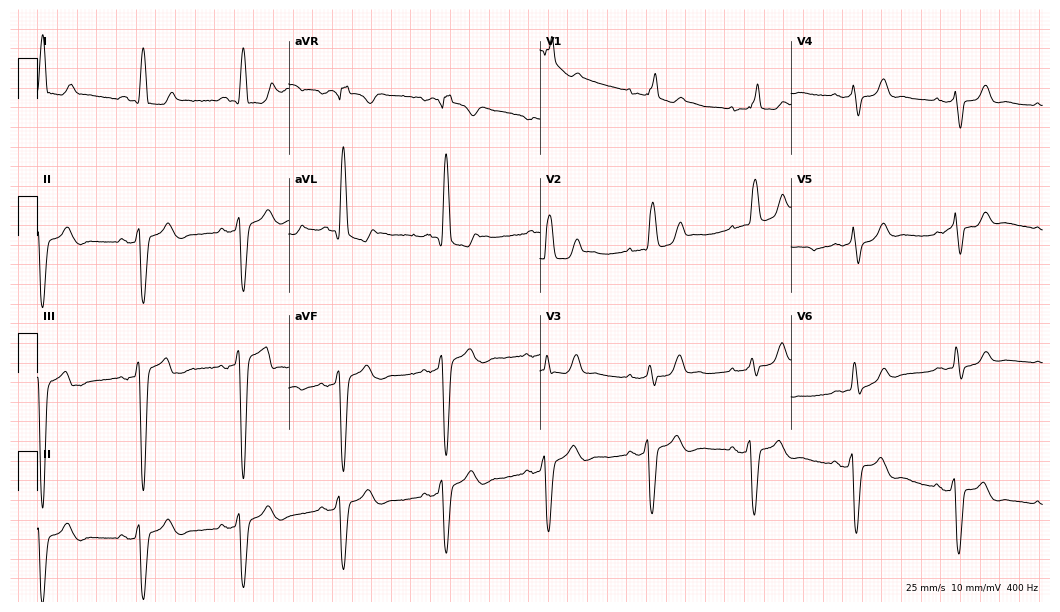
12-lead ECG from a female patient, 79 years old. Findings include right bundle branch block.